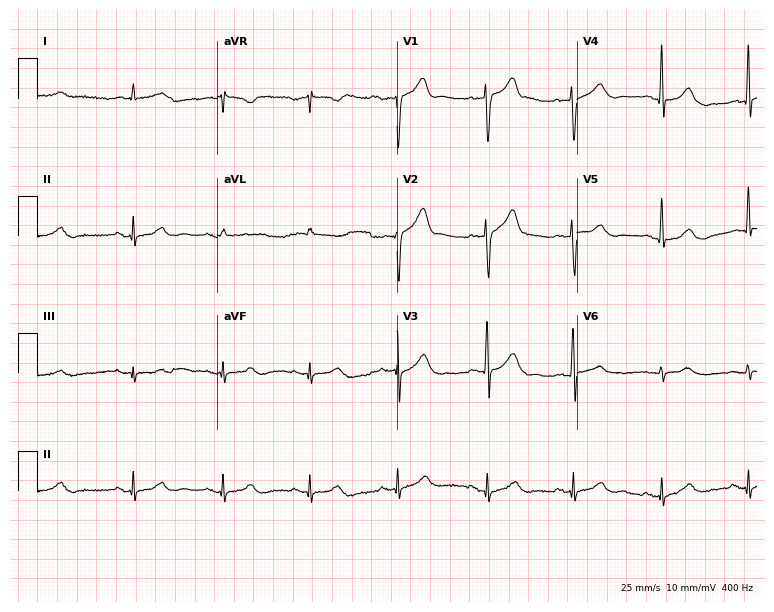
Standard 12-lead ECG recorded from a 75-year-old male patient. None of these six findings is recorded: first-degree AV block, right bundle branch block, left bundle branch block, sinus bradycardia, atrial fibrillation, sinus tachycardia.